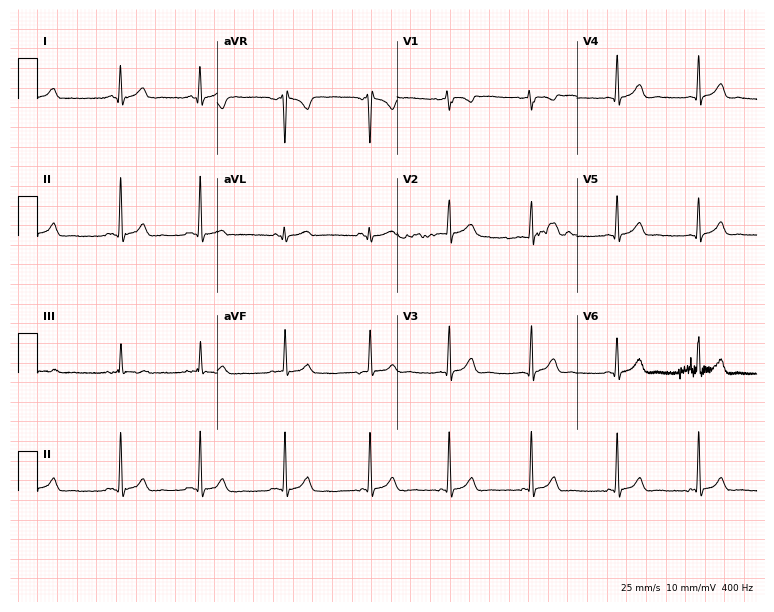
Electrocardiogram (7.3-second recording at 400 Hz), a 17-year-old woman. Of the six screened findings (first-degree AV block, right bundle branch block, left bundle branch block, sinus bradycardia, atrial fibrillation, sinus tachycardia), none is recorded. Findings outside these six are not listed.